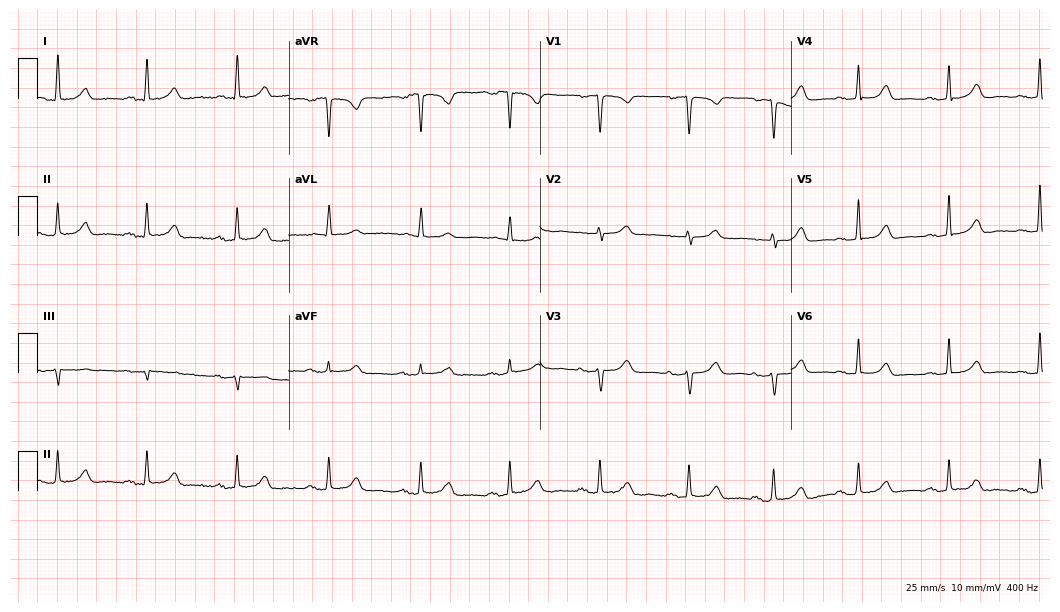
ECG (10.2-second recording at 400 Hz) — a 72-year-old female. Labelled as a normal ECG.